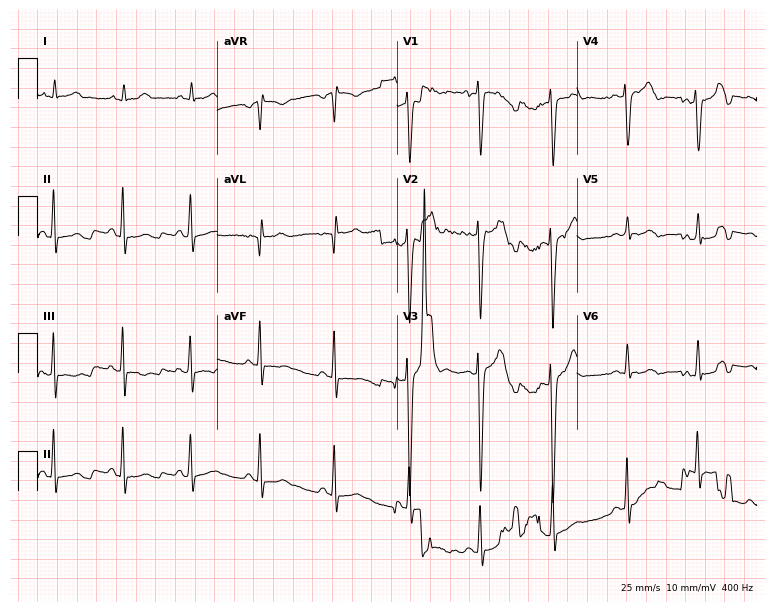
12-lead ECG from a 20-year-old man. No first-degree AV block, right bundle branch block (RBBB), left bundle branch block (LBBB), sinus bradycardia, atrial fibrillation (AF) or sinus tachycardia recorded for this tracing. Other findings, if any, are not listed.